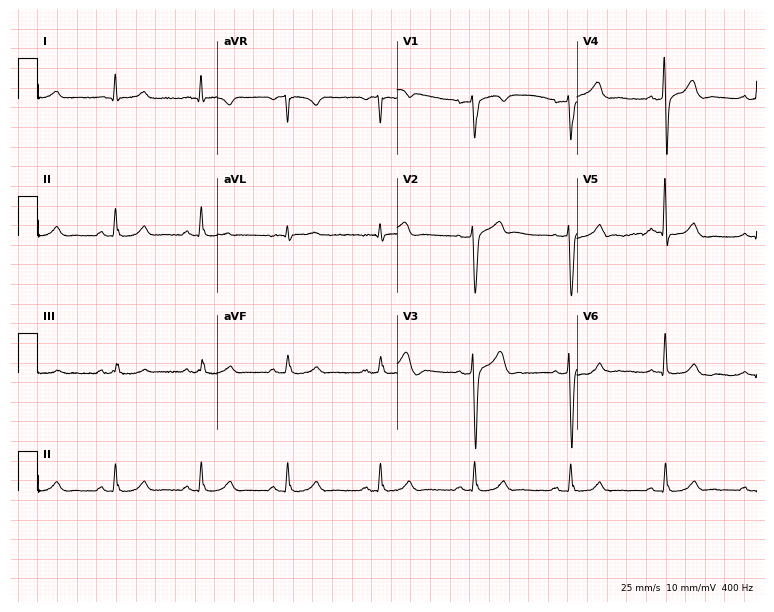
Resting 12-lead electrocardiogram. Patient: a 59-year-old man. Read as a normal ECG.